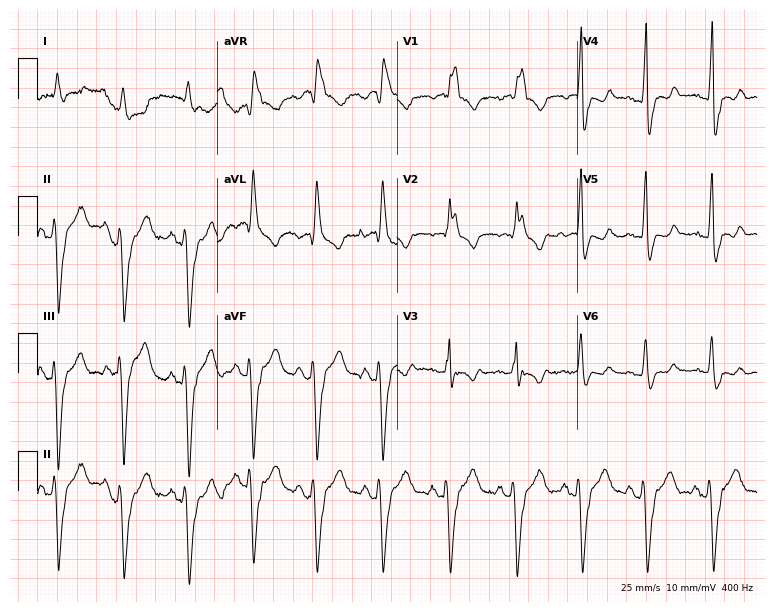
Resting 12-lead electrocardiogram (7.3-second recording at 400 Hz). Patient: a man, 83 years old. The tracing shows right bundle branch block.